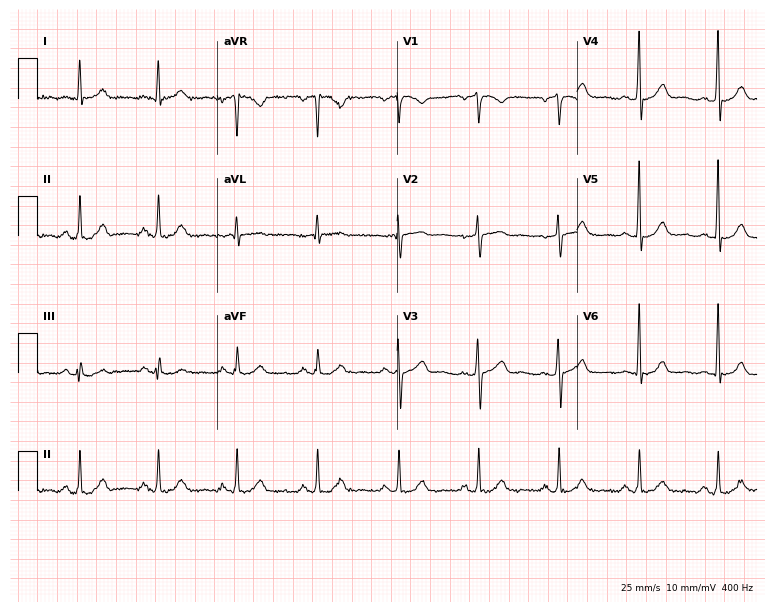
Resting 12-lead electrocardiogram (7.3-second recording at 400 Hz). Patient: a man, 68 years old. Read as a normal ECG.